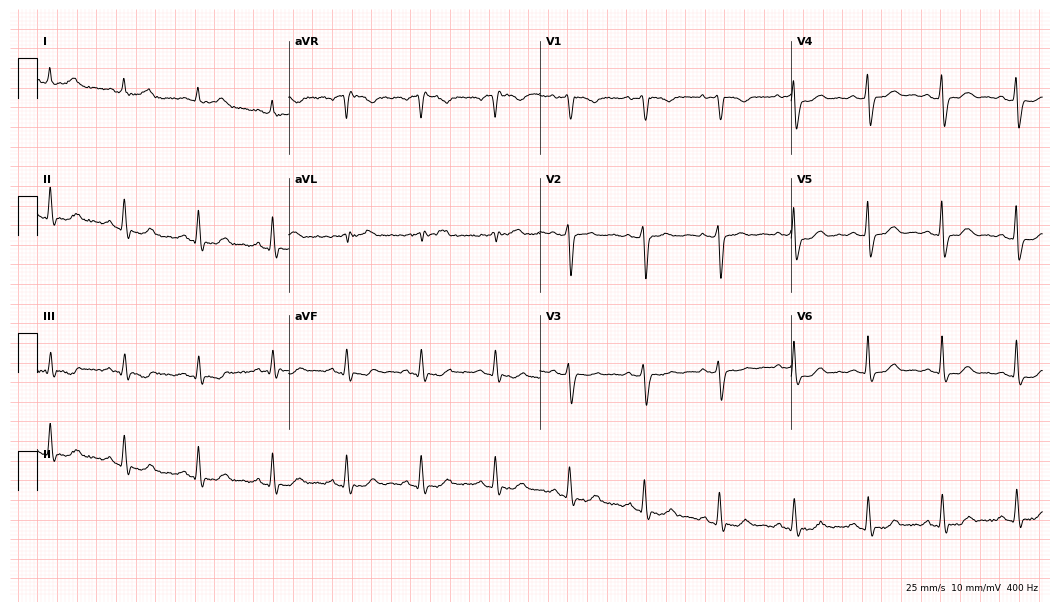
Resting 12-lead electrocardiogram (10.2-second recording at 400 Hz). Patient: a 61-year-old female. None of these six findings is recorded: first-degree AV block, right bundle branch block, left bundle branch block, sinus bradycardia, atrial fibrillation, sinus tachycardia.